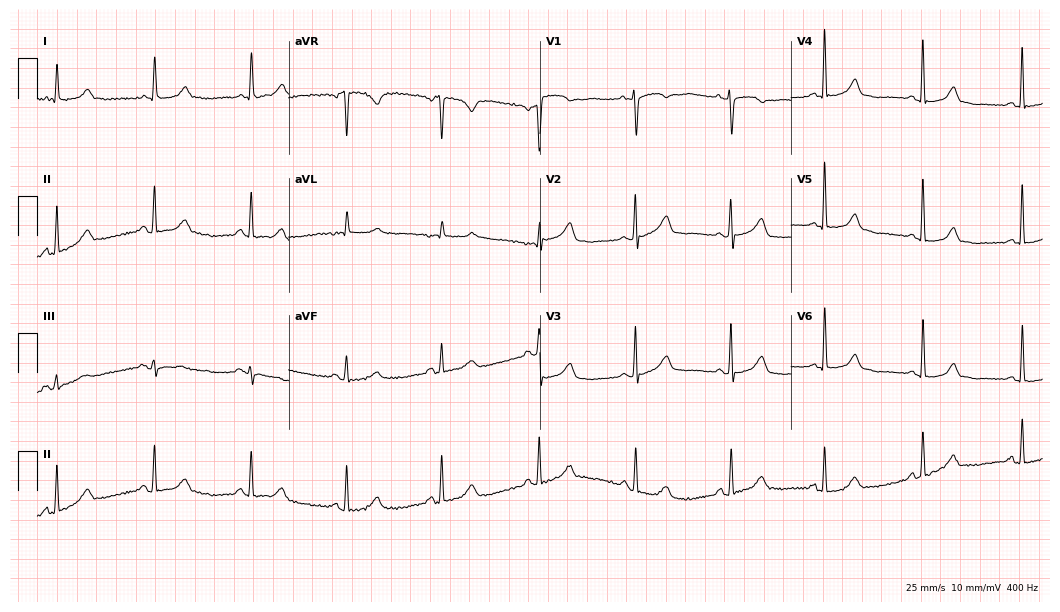
12-lead ECG from a woman, 81 years old. Labelled as a normal ECG.